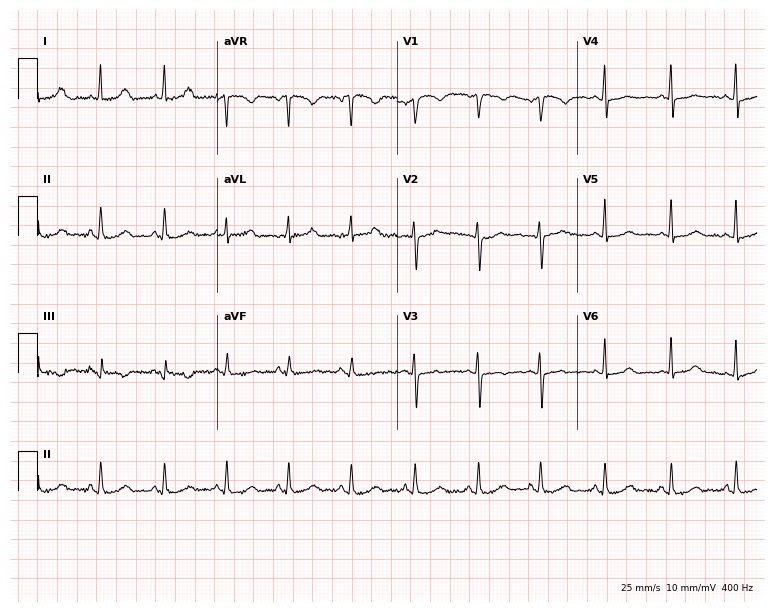
ECG (7.3-second recording at 400 Hz) — a 50-year-old female patient. Labelled as a normal ECG.